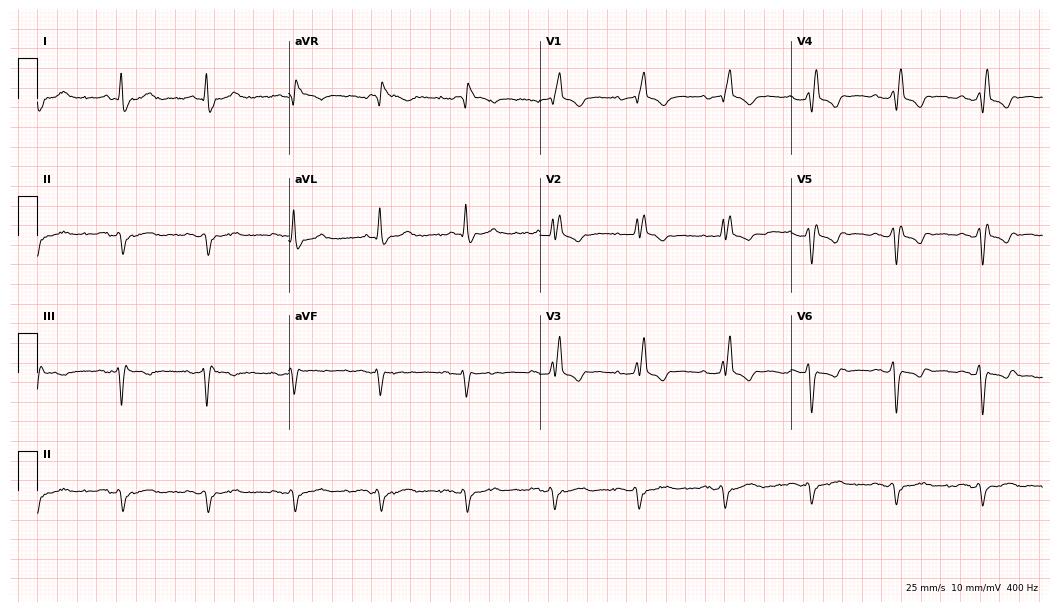
Electrocardiogram, an 84-year-old man. Interpretation includes right bundle branch block.